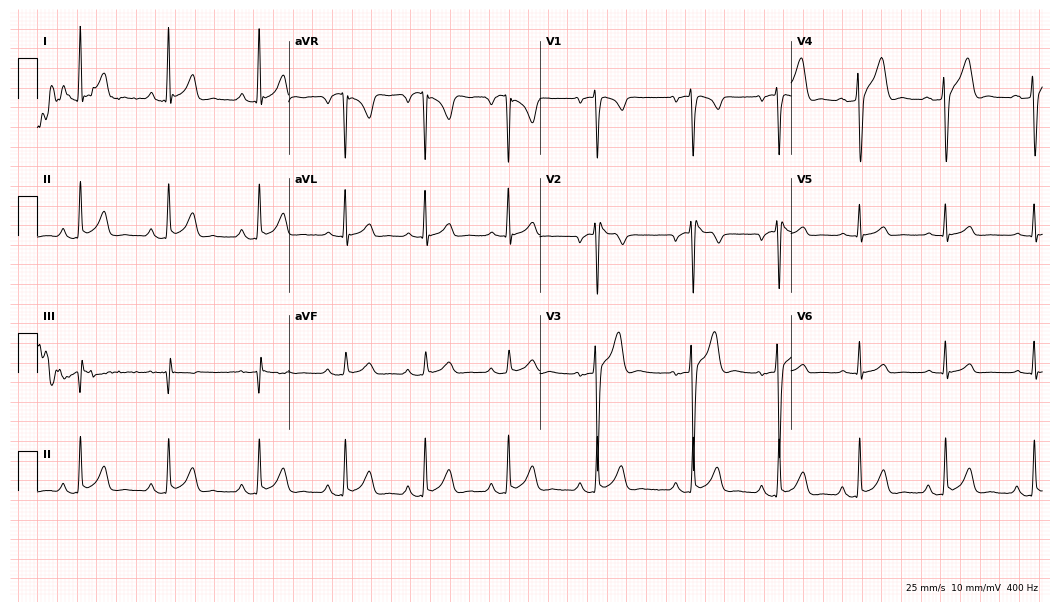
12-lead ECG from a 35-year-old man. Recorded interpretation: within normal limits.